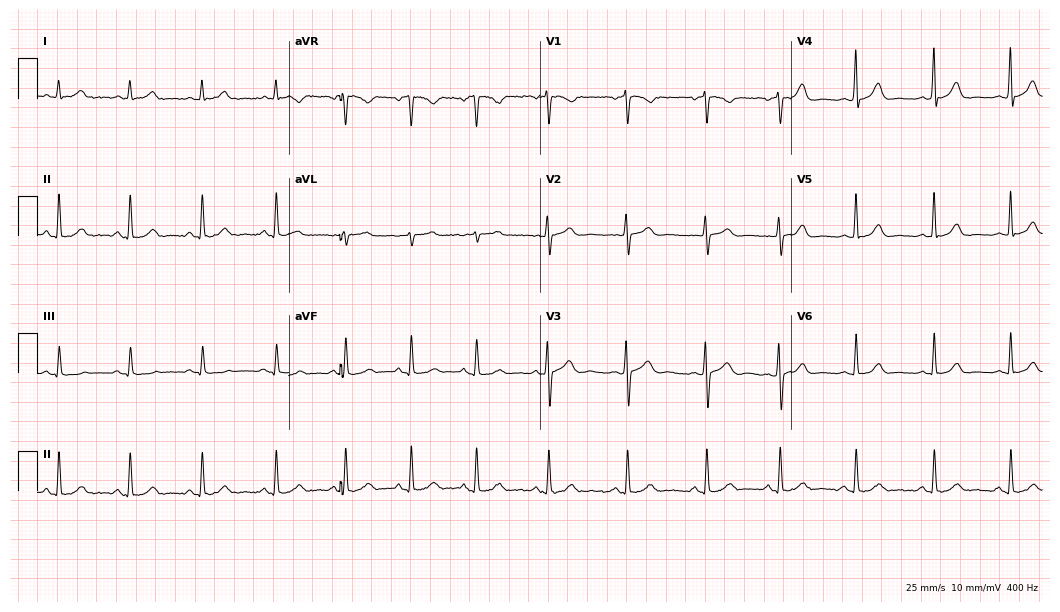
12-lead ECG from a 26-year-old female. Screened for six findings — first-degree AV block, right bundle branch block, left bundle branch block, sinus bradycardia, atrial fibrillation, sinus tachycardia — none is recorded. Only these six findings were labelled.